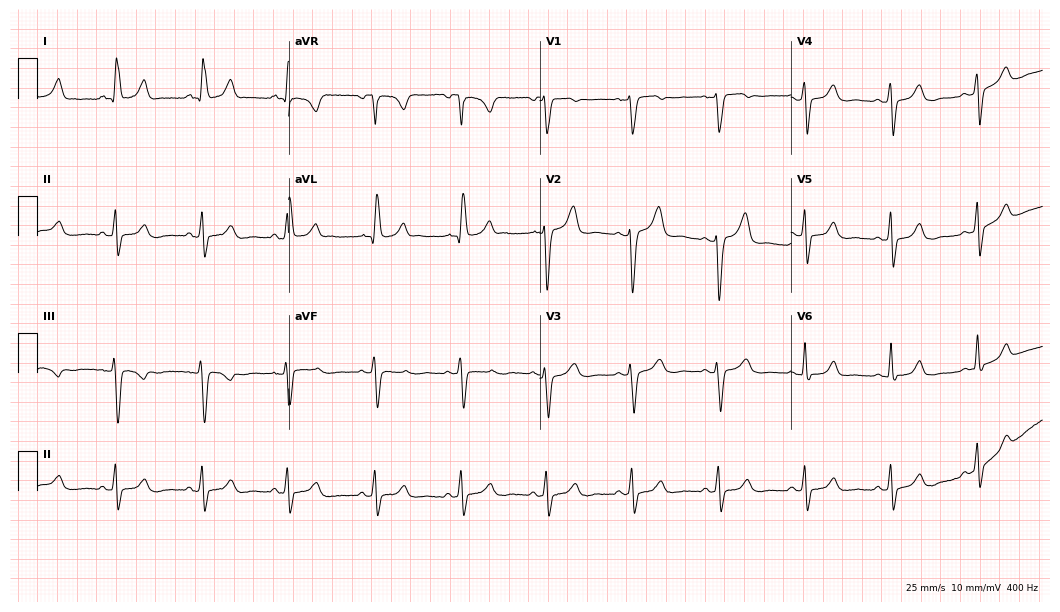
ECG — a woman, 61 years old. Screened for six findings — first-degree AV block, right bundle branch block, left bundle branch block, sinus bradycardia, atrial fibrillation, sinus tachycardia — none is recorded.